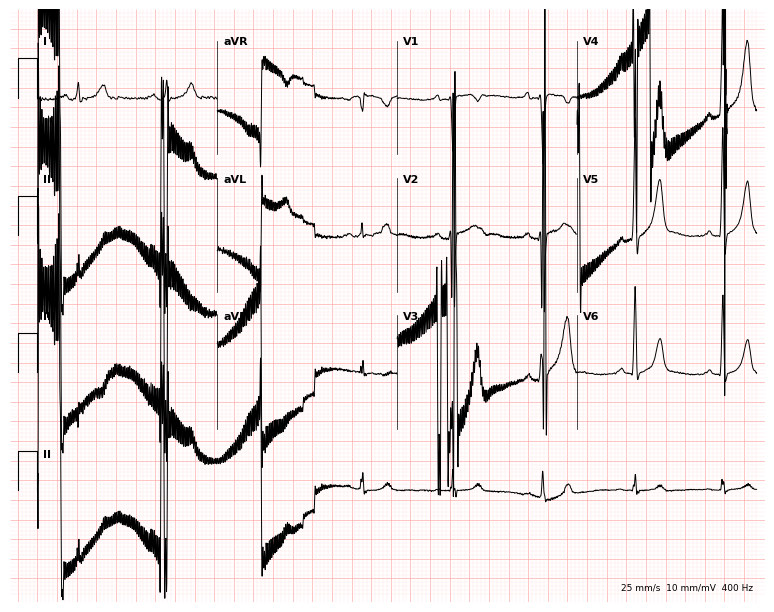
ECG — a male, 19 years old. Screened for six findings — first-degree AV block, right bundle branch block, left bundle branch block, sinus bradycardia, atrial fibrillation, sinus tachycardia — none is recorded. Findings outside these six are not listed.